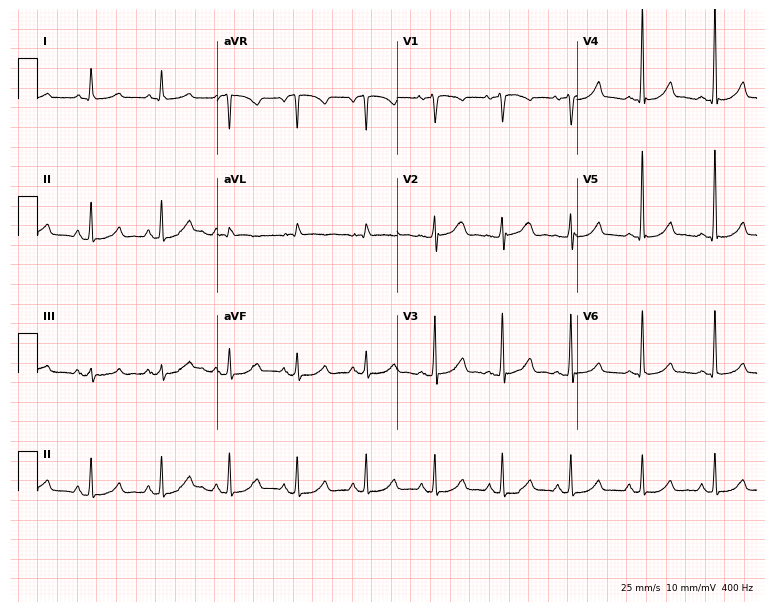
12-lead ECG (7.3-second recording at 400 Hz) from a 49-year-old man. Screened for six findings — first-degree AV block, right bundle branch block (RBBB), left bundle branch block (LBBB), sinus bradycardia, atrial fibrillation (AF), sinus tachycardia — none is recorded.